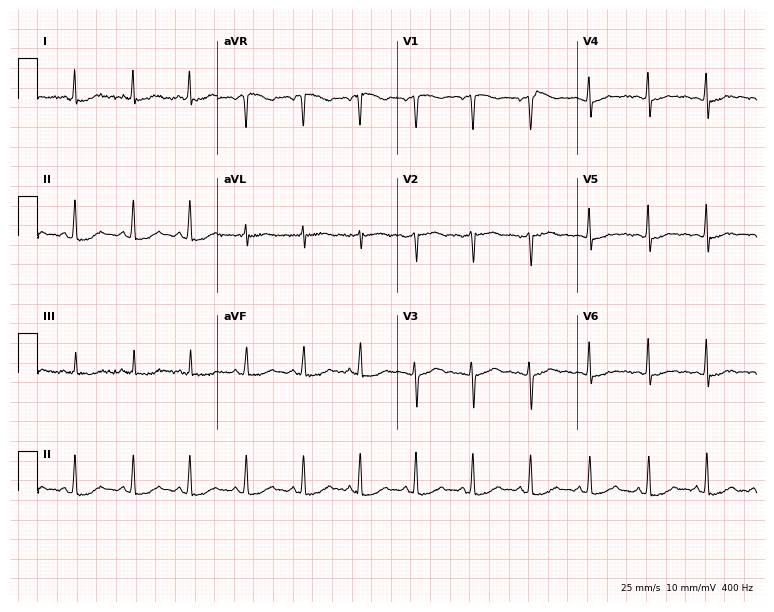
12-lead ECG from a 46-year-old woman (7.3-second recording at 400 Hz). No first-degree AV block, right bundle branch block (RBBB), left bundle branch block (LBBB), sinus bradycardia, atrial fibrillation (AF) or sinus tachycardia recorded for this tracing.